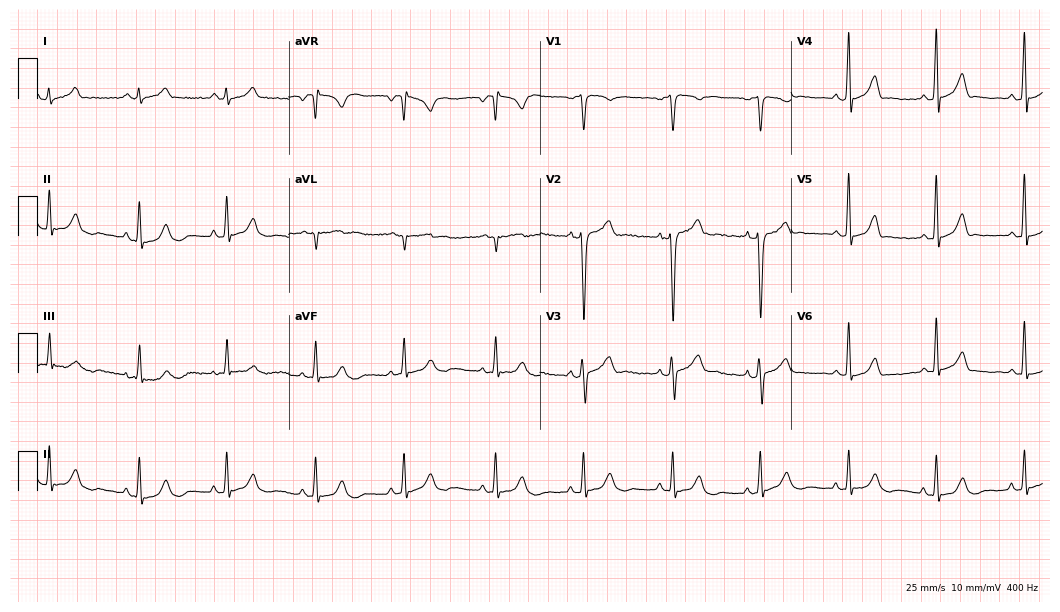
Electrocardiogram (10.2-second recording at 400 Hz), a male patient, 42 years old. Overall reading on record: normal ECG.